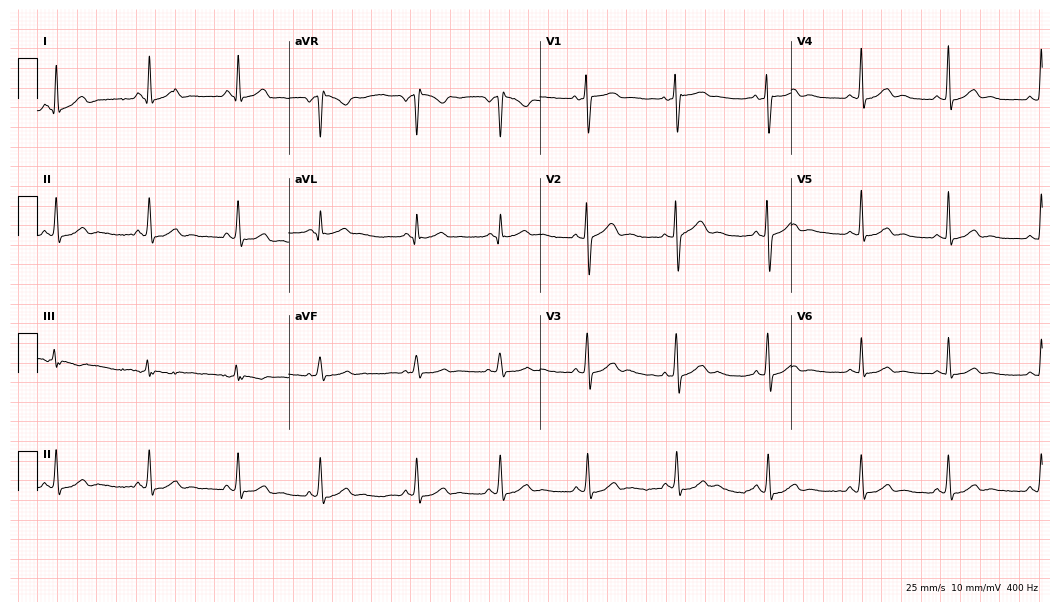
ECG (10.2-second recording at 400 Hz) — a female, 22 years old. Screened for six findings — first-degree AV block, right bundle branch block, left bundle branch block, sinus bradycardia, atrial fibrillation, sinus tachycardia — none is recorded. Other findings, if any, are not listed.